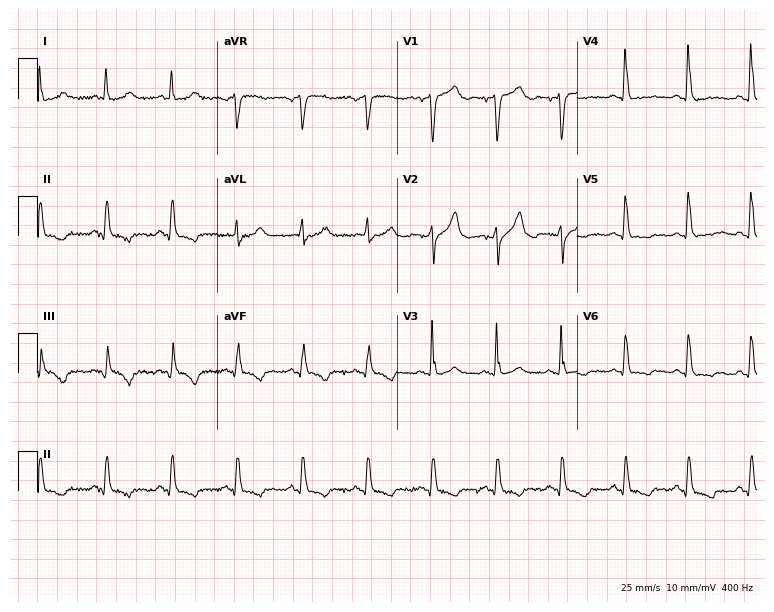
Resting 12-lead electrocardiogram (7.3-second recording at 400 Hz). Patient: a 52-year-old female. None of these six findings is recorded: first-degree AV block, right bundle branch block, left bundle branch block, sinus bradycardia, atrial fibrillation, sinus tachycardia.